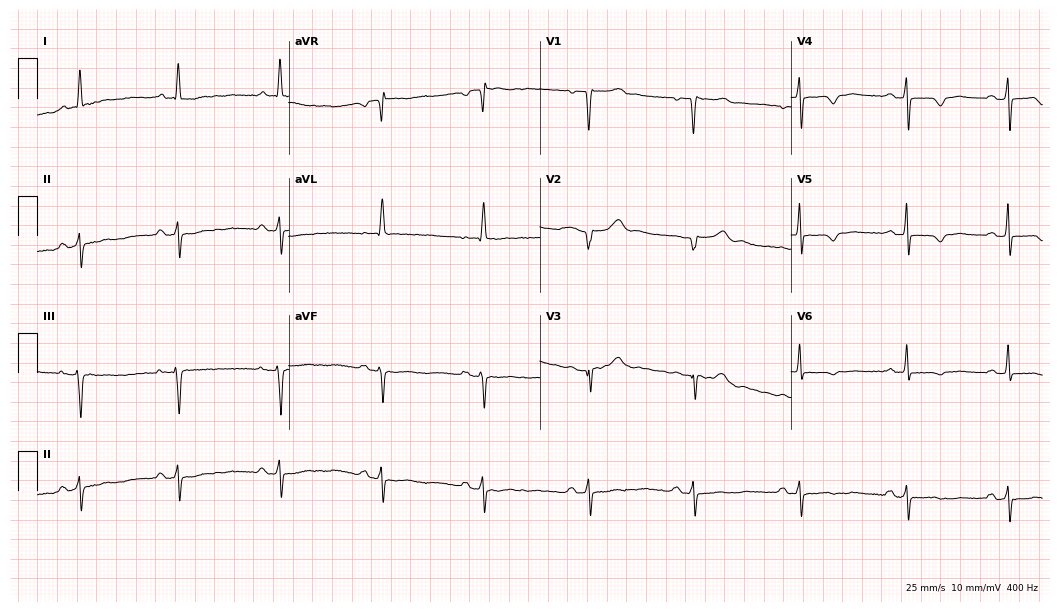
12-lead ECG from a woman, 60 years old (10.2-second recording at 400 Hz). No first-degree AV block, right bundle branch block (RBBB), left bundle branch block (LBBB), sinus bradycardia, atrial fibrillation (AF) or sinus tachycardia recorded for this tracing.